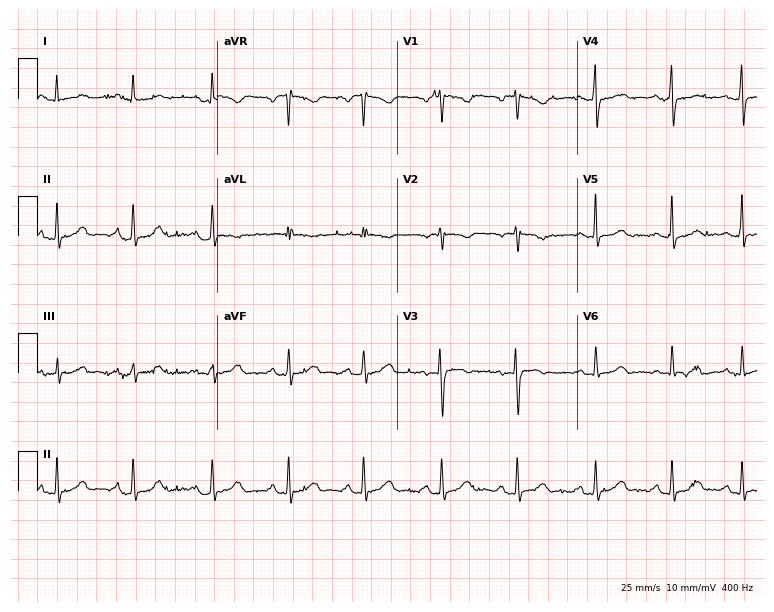
Resting 12-lead electrocardiogram (7.3-second recording at 400 Hz). Patient: a female, 53 years old. Read as a normal ECG.